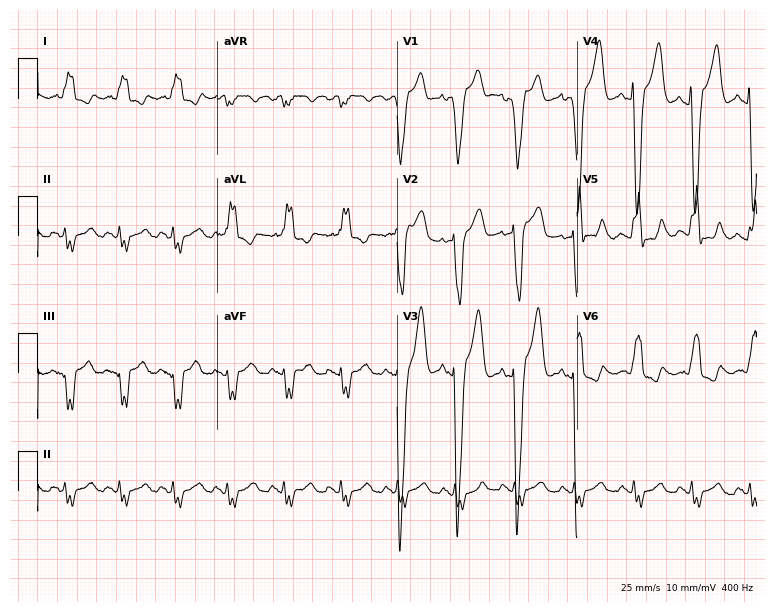
ECG (7.3-second recording at 400 Hz) — a man, 73 years old. Findings include left bundle branch block (LBBB), sinus tachycardia (a sinus rate of 100 beats per minute or more).